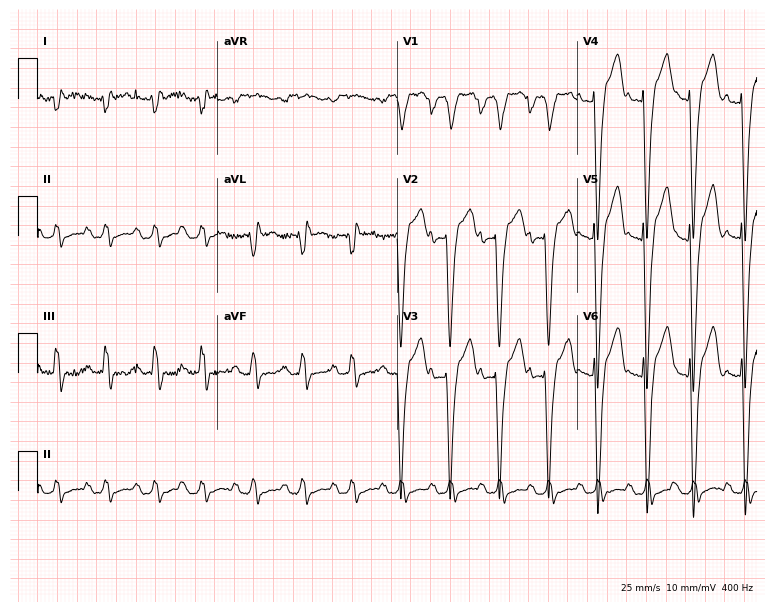
Electrocardiogram (7.3-second recording at 400 Hz), a 56-year-old man. Interpretation includes left bundle branch block (LBBB), sinus tachycardia (a sinus rate of 100 beats per minute or more).